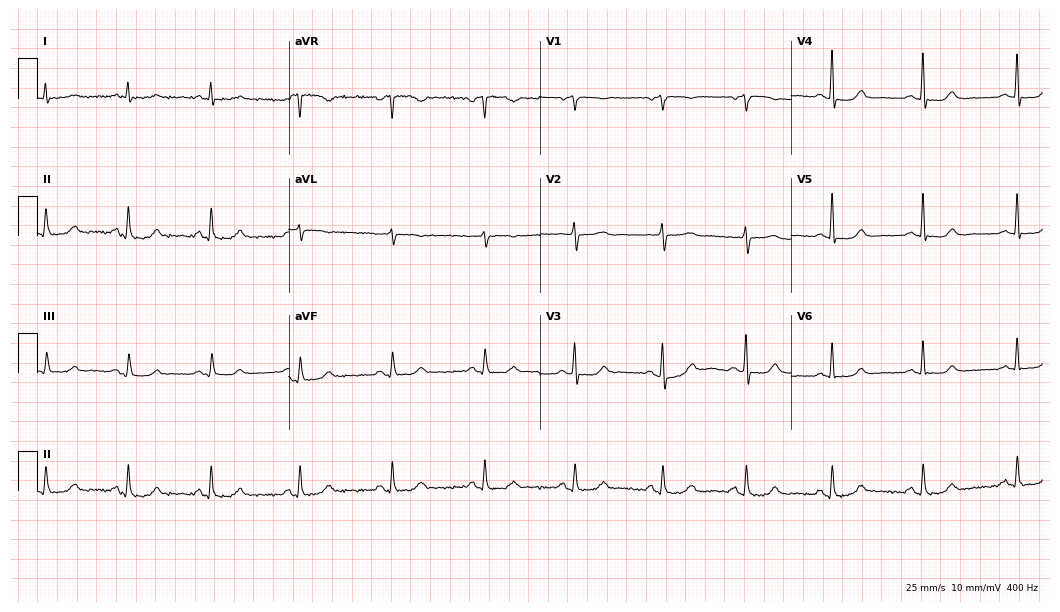
Electrocardiogram, a female, 61 years old. Overall reading on record: normal ECG.